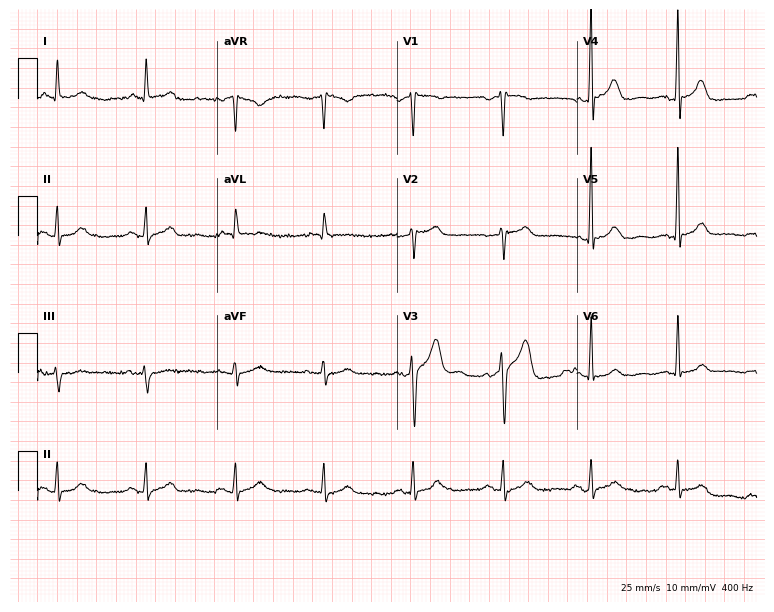
12-lead ECG from a male, 65 years old. Labelled as a normal ECG.